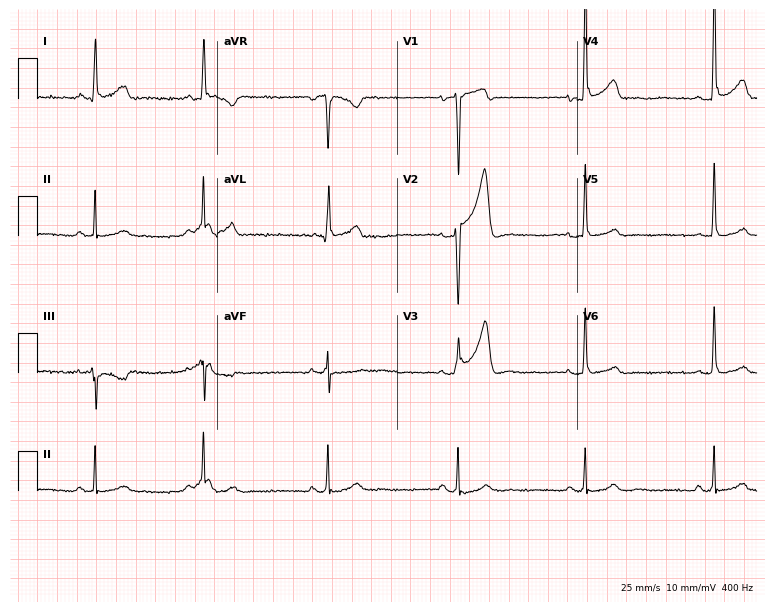
Standard 12-lead ECG recorded from a male, 45 years old (7.3-second recording at 400 Hz). The tracing shows sinus bradycardia (a sinus rate of 50 beats per minute or less).